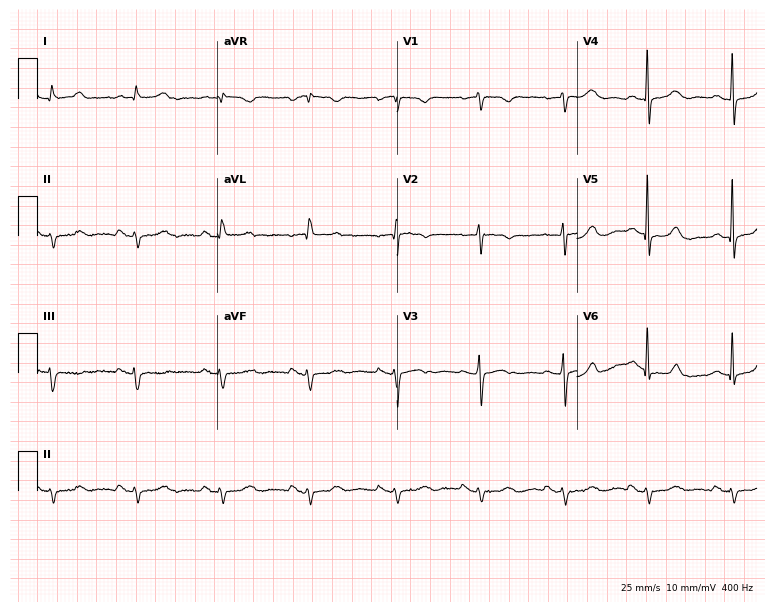
12-lead ECG from a 68-year-old female (7.3-second recording at 400 Hz). No first-degree AV block, right bundle branch block, left bundle branch block, sinus bradycardia, atrial fibrillation or sinus tachycardia recorded for this tracing. Only these six findings were labelled.